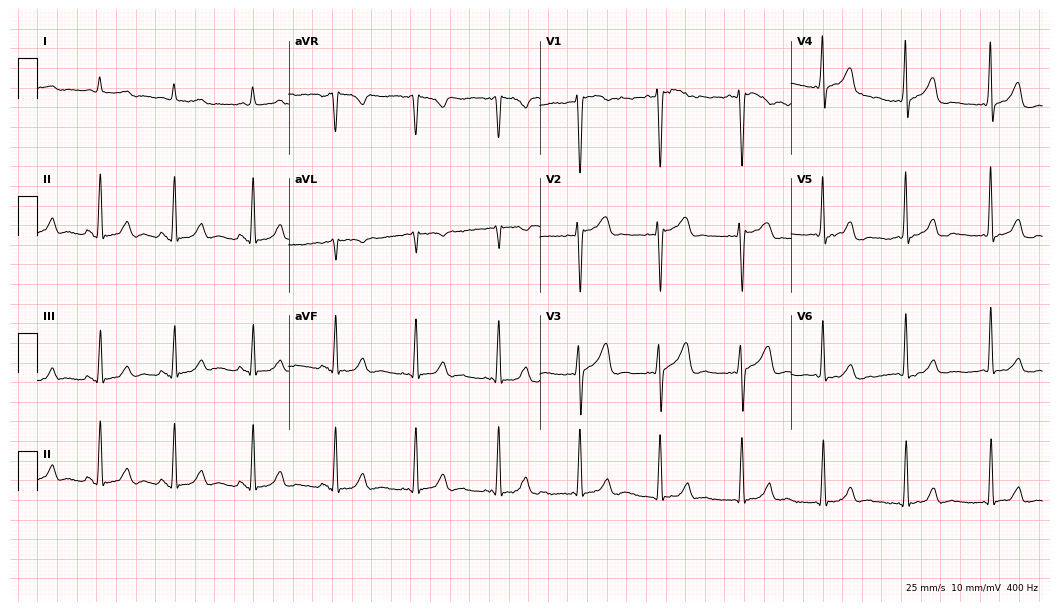
12-lead ECG (10.2-second recording at 400 Hz) from a 55-year-old man. Screened for six findings — first-degree AV block, right bundle branch block, left bundle branch block, sinus bradycardia, atrial fibrillation, sinus tachycardia — none is recorded. Other findings, if any, are not listed.